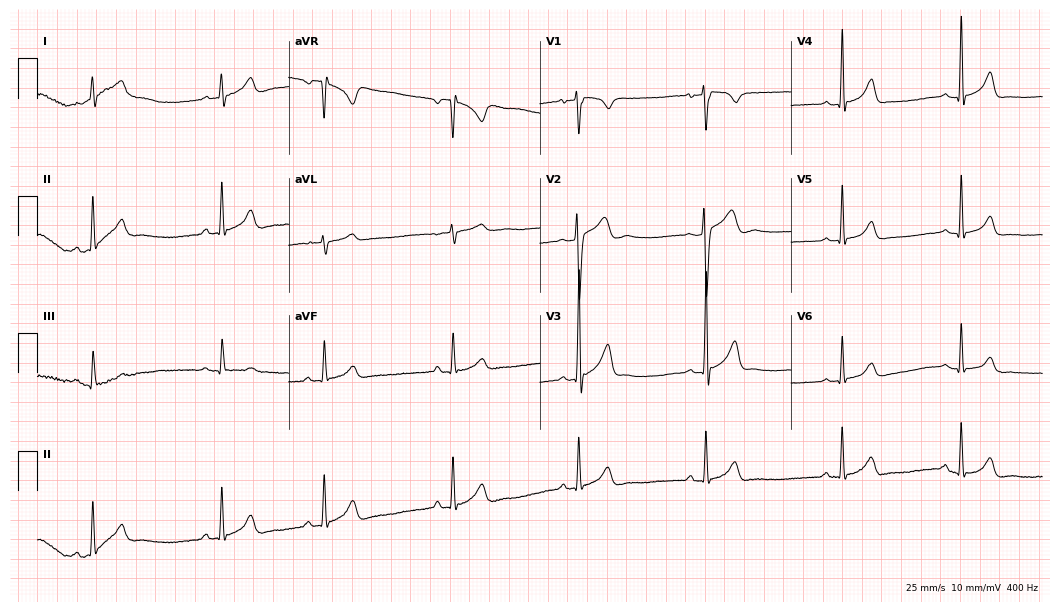
12-lead ECG from an 18-year-old male patient. Labelled as a normal ECG.